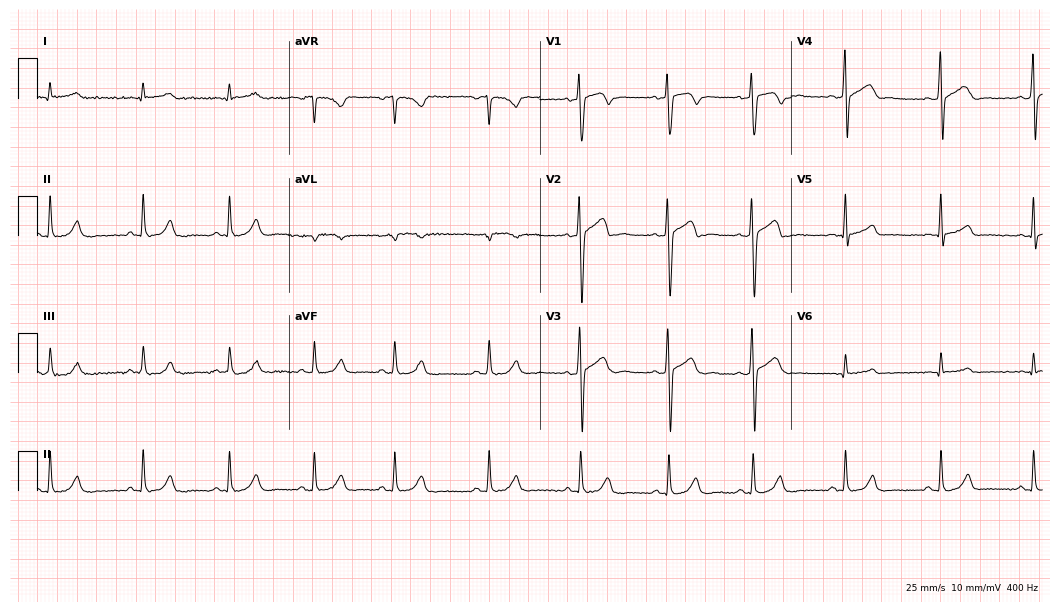
12-lead ECG from a male, 26 years old. Recorded interpretation: within normal limits.